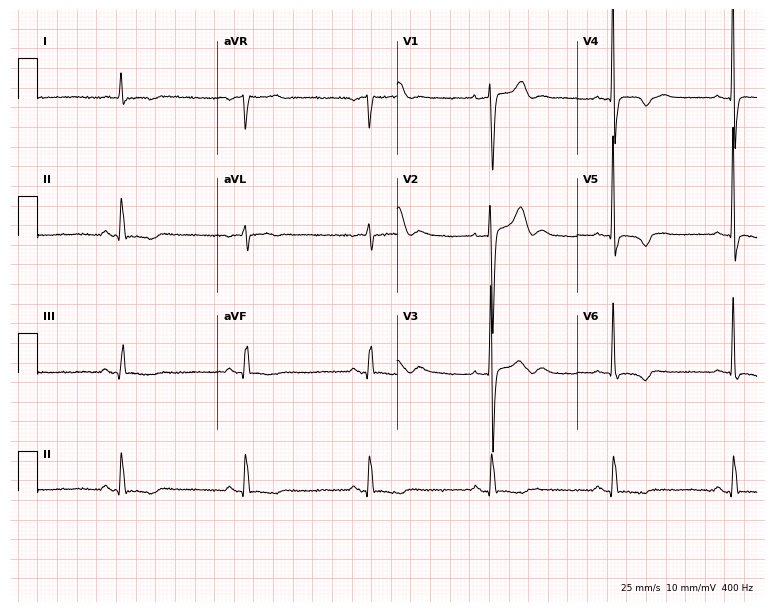
12-lead ECG from a male, 69 years old (7.3-second recording at 400 Hz). Shows sinus bradycardia (a sinus rate of 50 beats per minute or less).